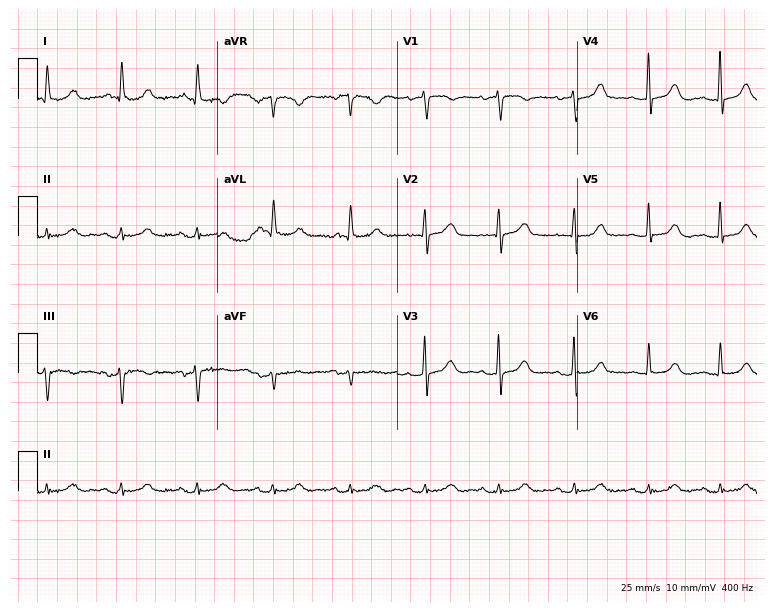
12-lead ECG from a female, 76 years old. Labelled as a normal ECG.